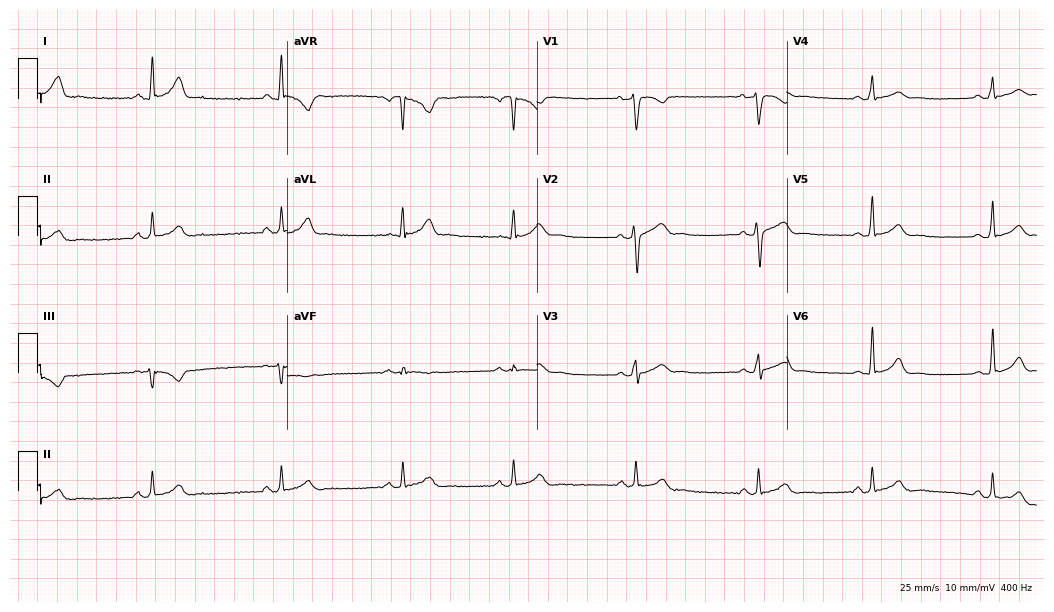
Standard 12-lead ECG recorded from a male, 33 years old. None of these six findings is recorded: first-degree AV block, right bundle branch block, left bundle branch block, sinus bradycardia, atrial fibrillation, sinus tachycardia. Findings outside these six are not listed.